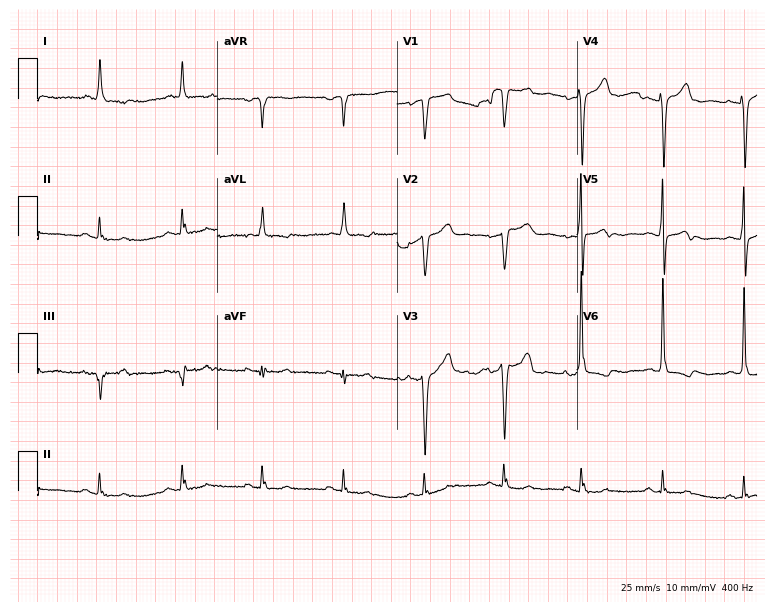
12-lead ECG from a female patient, 82 years old. Screened for six findings — first-degree AV block, right bundle branch block, left bundle branch block, sinus bradycardia, atrial fibrillation, sinus tachycardia — none is recorded. Other findings, if any, are not listed.